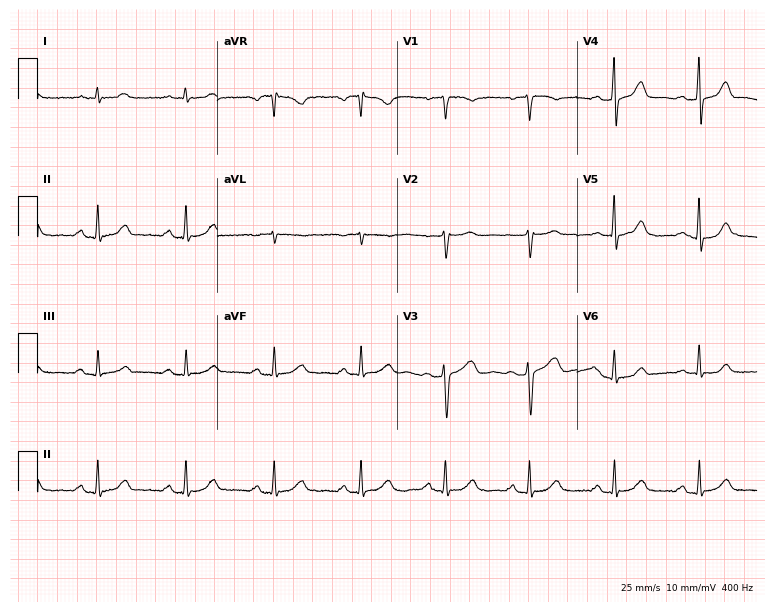
Resting 12-lead electrocardiogram (7.3-second recording at 400 Hz). Patient: a 51-year-old female. Read as a normal ECG.